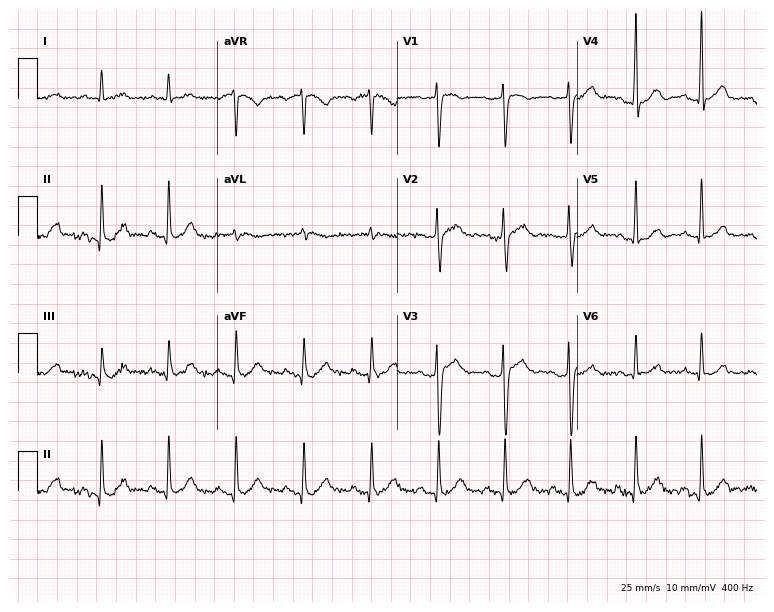
Standard 12-lead ECG recorded from a man, 47 years old. Read as a normal ECG.